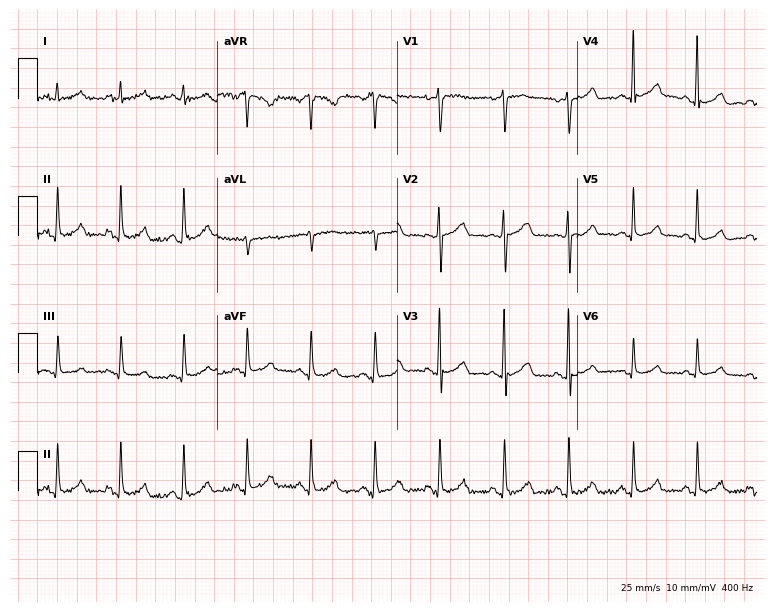
ECG (7.3-second recording at 400 Hz) — a 59-year-old female. Labelled as a normal ECG.